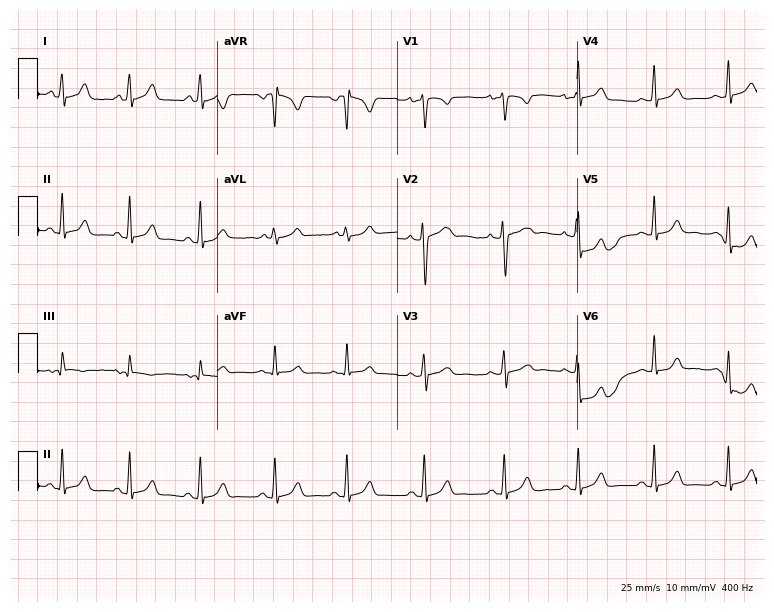
12-lead ECG from a female patient, 21 years old. Screened for six findings — first-degree AV block, right bundle branch block, left bundle branch block, sinus bradycardia, atrial fibrillation, sinus tachycardia — none is recorded.